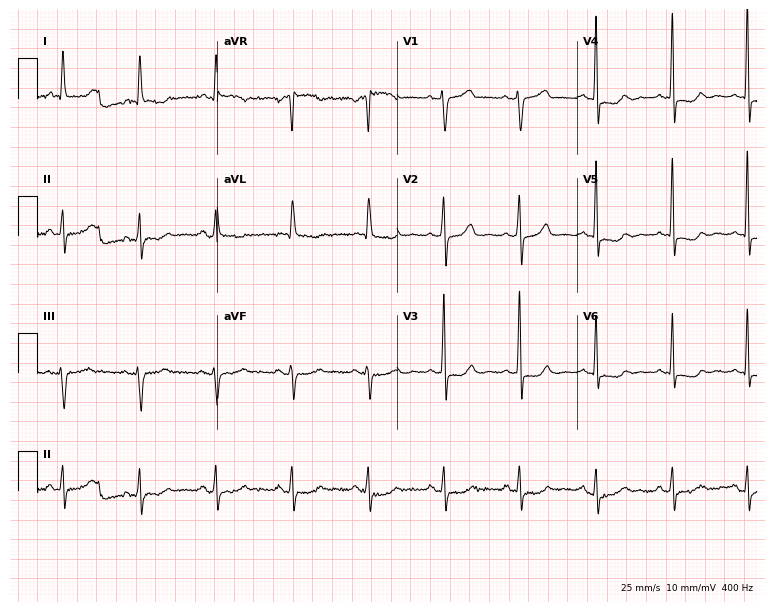
12-lead ECG from a 72-year-old woman. Screened for six findings — first-degree AV block, right bundle branch block, left bundle branch block, sinus bradycardia, atrial fibrillation, sinus tachycardia — none is recorded. Only these six findings were labelled.